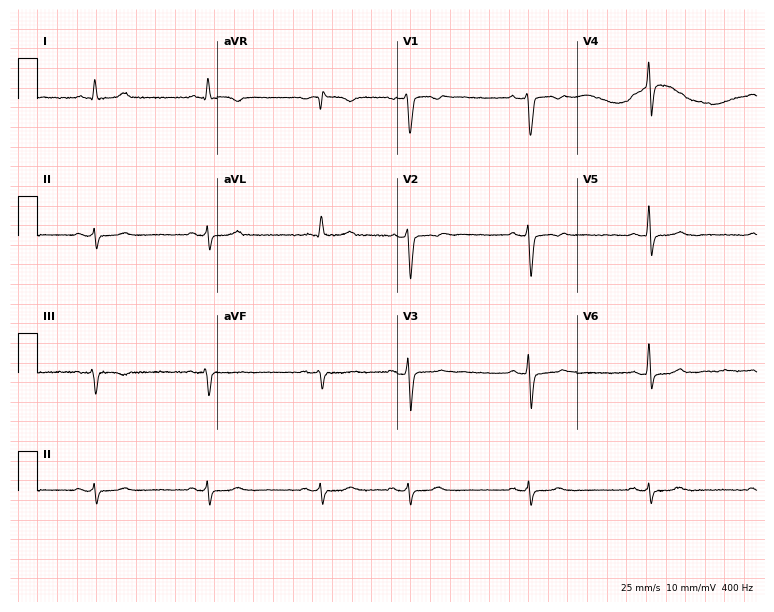
Resting 12-lead electrocardiogram. Patient: a male, 66 years old. None of these six findings is recorded: first-degree AV block, right bundle branch block, left bundle branch block, sinus bradycardia, atrial fibrillation, sinus tachycardia. Other findings, if any, are not listed.